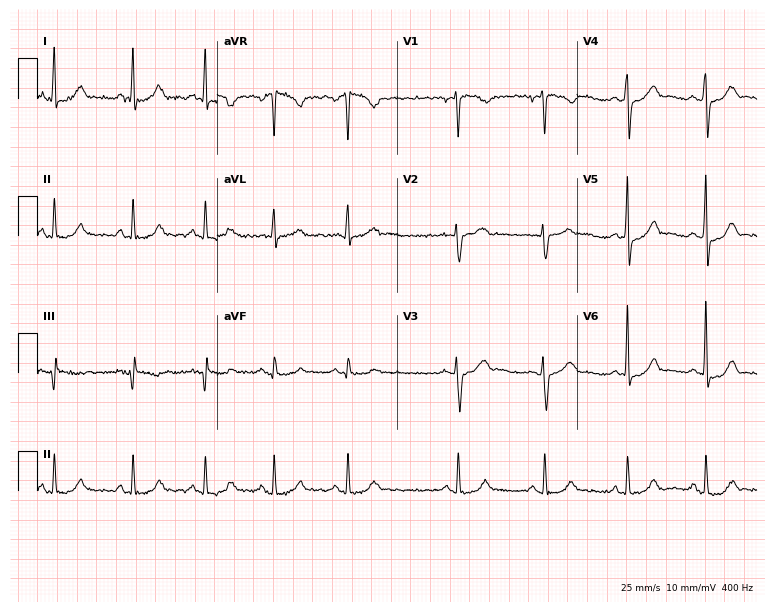
Electrocardiogram (7.3-second recording at 400 Hz), a 36-year-old female. Overall reading on record: normal ECG.